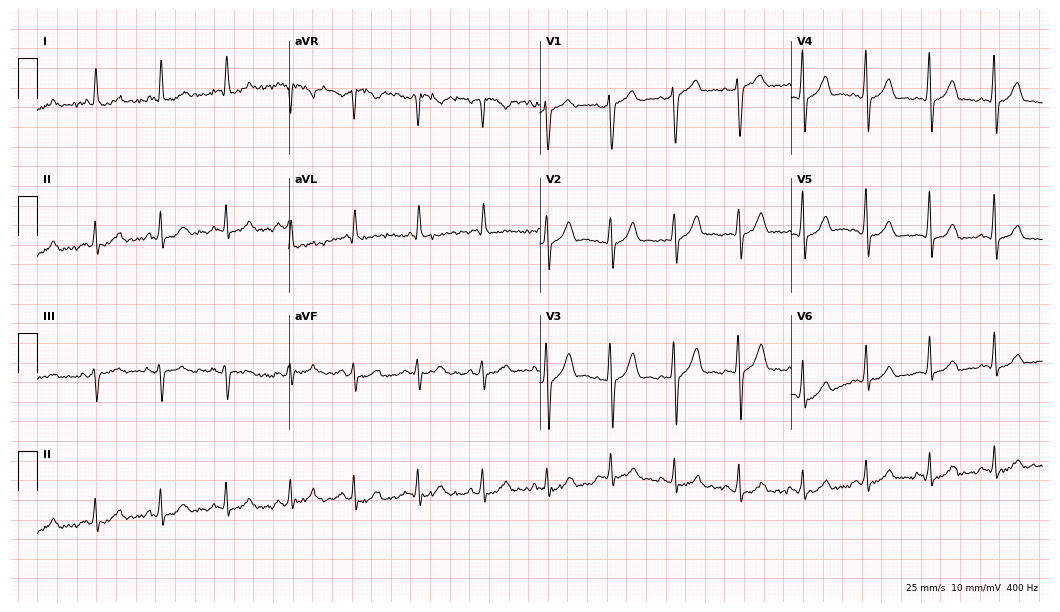
Resting 12-lead electrocardiogram (10.2-second recording at 400 Hz). Patient: a man, 30 years old. None of these six findings is recorded: first-degree AV block, right bundle branch block, left bundle branch block, sinus bradycardia, atrial fibrillation, sinus tachycardia.